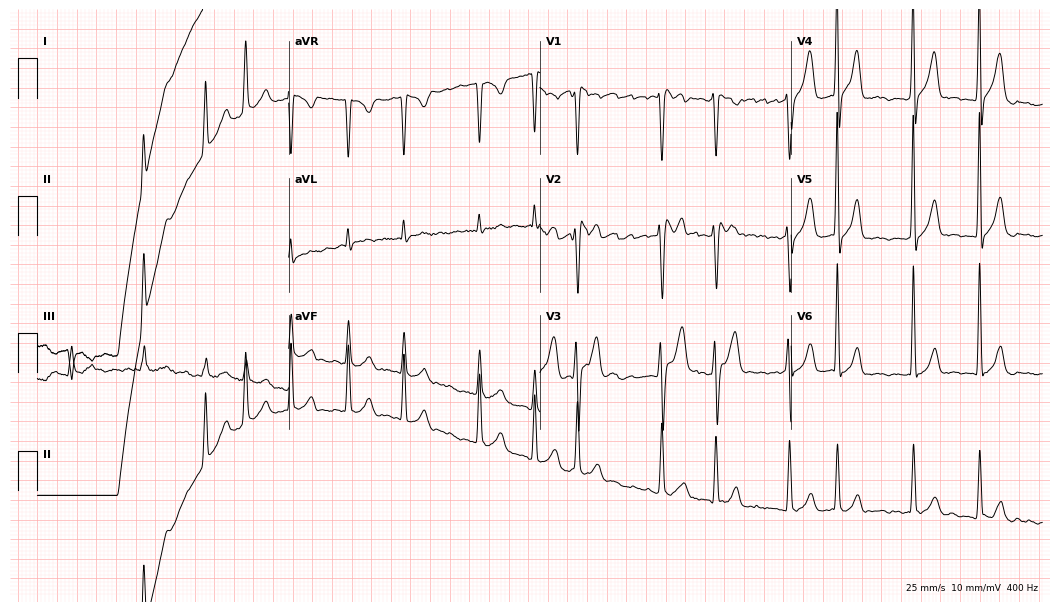
Standard 12-lead ECG recorded from a man, 52 years old. The tracing shows atrial fibrillation (AF).